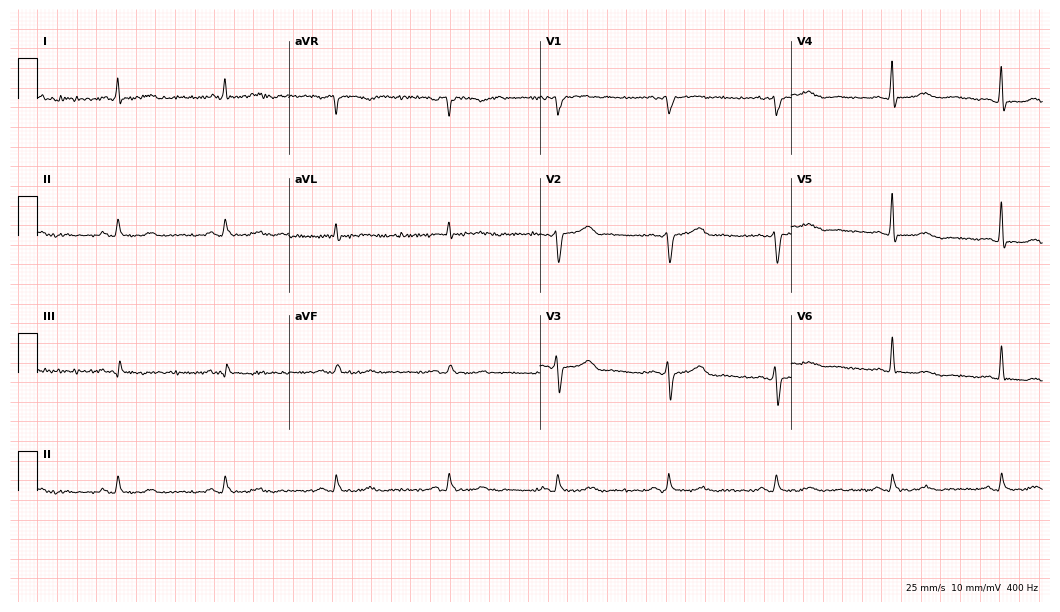
ECG (10.2-second recording at 400 Hz) — a 54-year-old man. Screened for six findings — first-degree AV block, right bundle branch block, left bundle branch block, sinus bradycardia, atrial fibrillation, sinus tachycardia — none is recorded. Other findings, if any, are not listed.